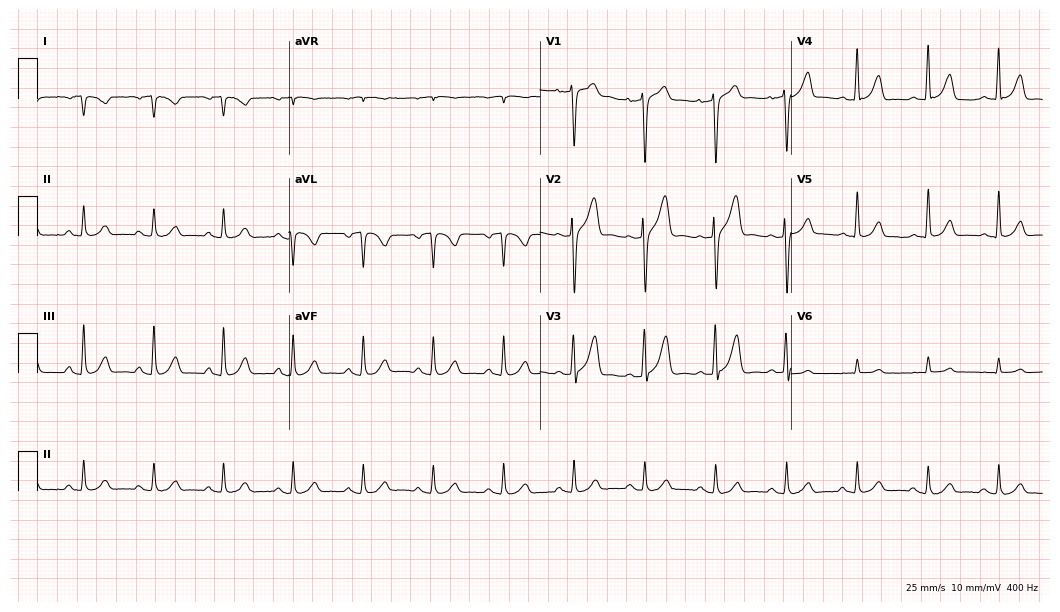
Electrocardiogram, a male, 61 years old. Of the six screened findings (first-degree AV block, right bundle branch block (RBBB), left bundle branch block (LBBB), sinus bradycardia, atrial fibrillation (AF), sinus tachycardia), none is recorded. Findings outside these six are not listed.